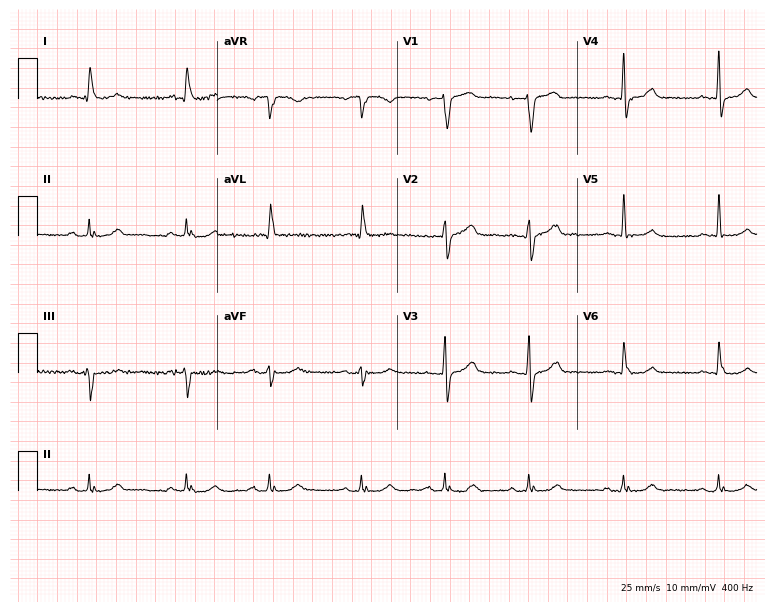
12-lead ECG (7.3-second recording at 400 Hz) from a male patient, 76 years old. Labelled as a normal ECG.